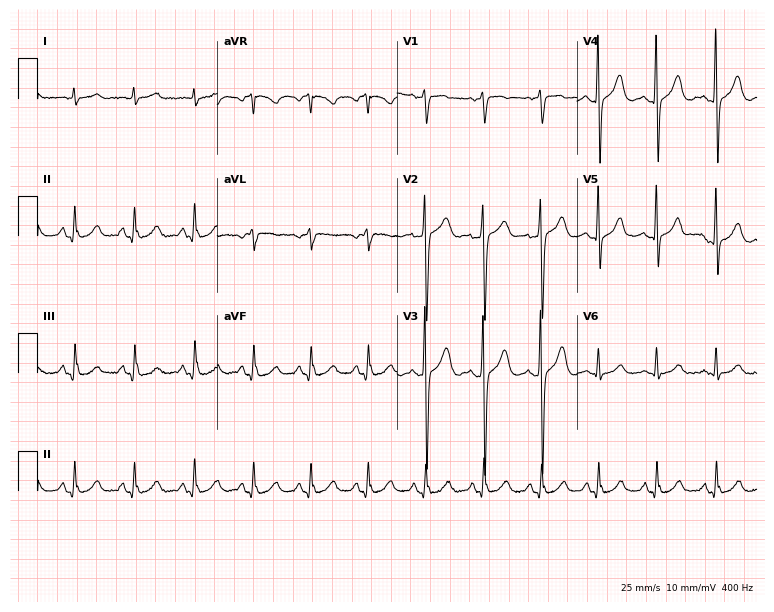
12-lead ECG (7.3-second recording at 400 Hz) from a 71-year-old man. Labelled as a normal ECG.